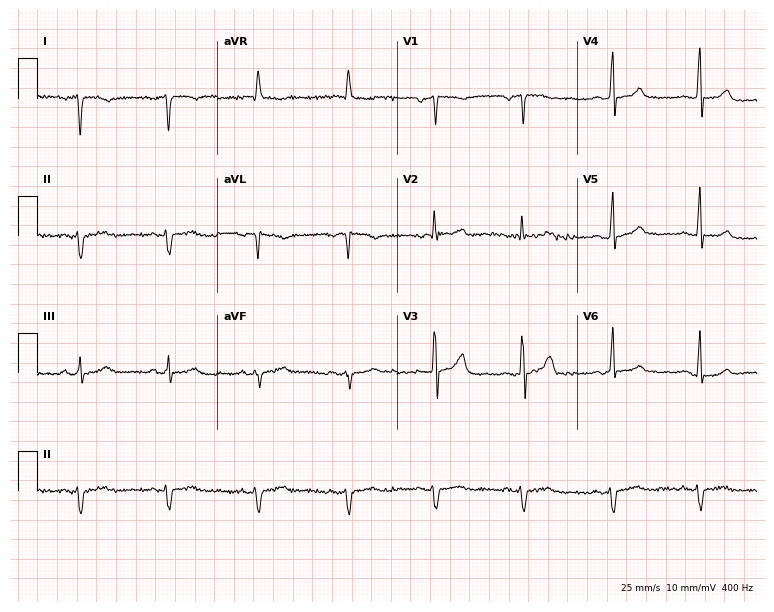
12-lead ECG from a 61-year-old male patient (7.3-second recording at 400 Hz). No first-degree AV block, right bundle branch block, left bundle branch block, sinus bradycardia, atrial fibrillation or sinus tachycardia recorded for this tracing. Other findings, if any, are not listed.